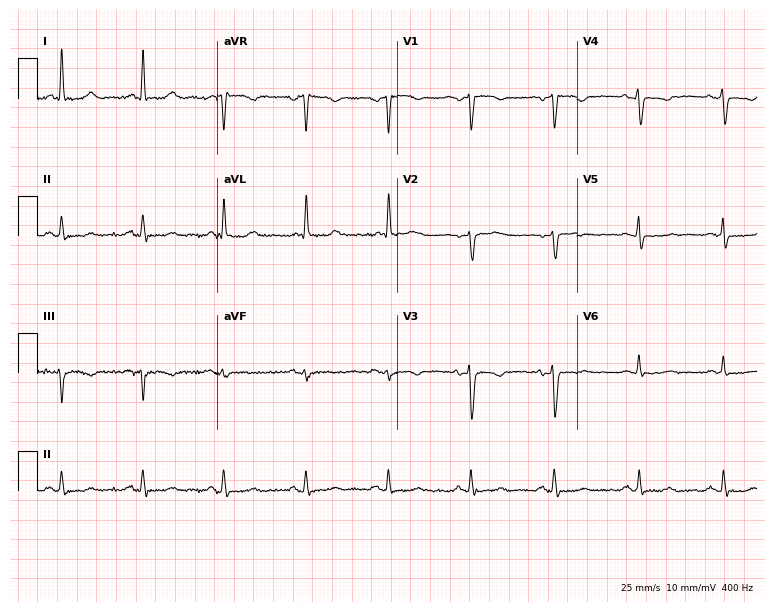
12-lead ECG from a female patient, 59 years old (7.3-second recording at 400 Hz). No first-degree AV block, right bundle branch block, left bundle branch block, sinus bradycardia, atrial fibrillation or sinus tachycardia recorded for this tracing.